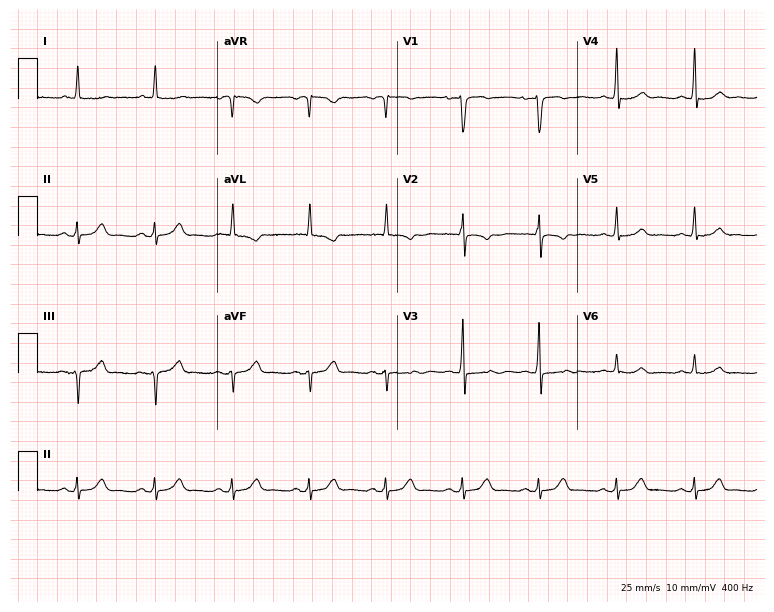
12-lead ECG from a female, 76 years old. Screened for six findings — first-degree AV block, right bundle branch block, left bundle branch block, sinus bradycardia, atrial fibrillation, sinus tachycardia — none is recorded. Findings outside these six are not listed.